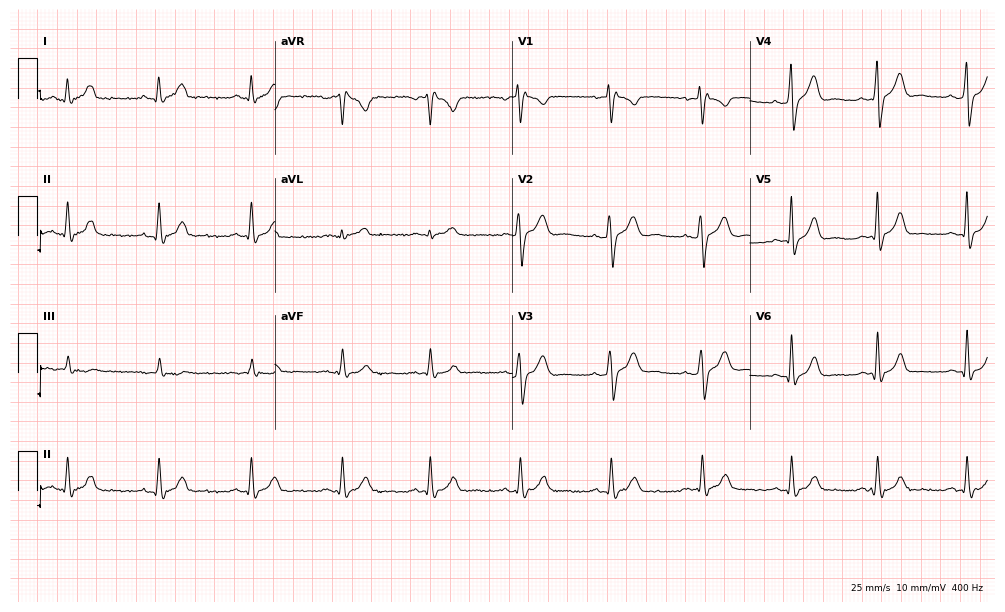
Standard 12-lead ECG recorded from a 35-year-old male patient. None of these six findings is recorded: first-degree AV block, right bundle branch block, left bundle branch block, sinus bradycardia, atrial fibrillation, sinus tachycardia.